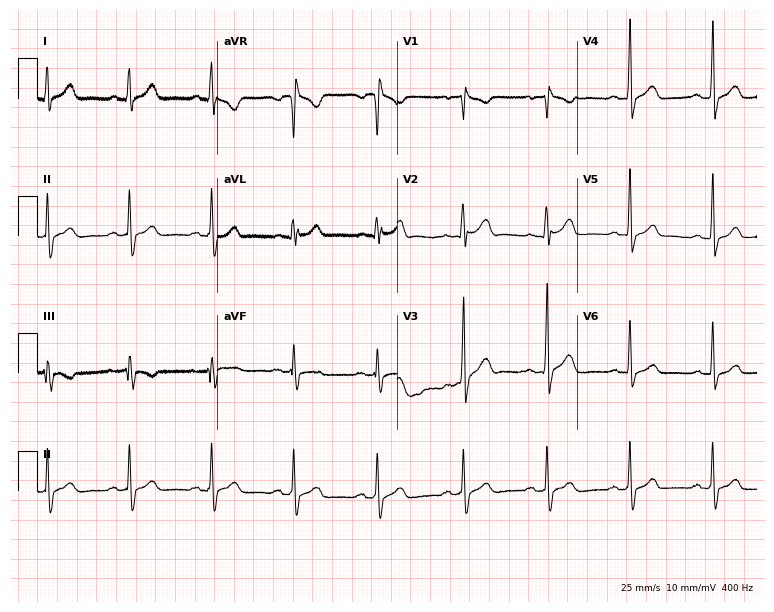
Resting 12-lead electrocardiogram. Patient: a 34-year-old man. None of these six findings is recorded: first-degree AV block, right bundle branch block, left bundle branch block, sinus bradycardia, atrial fibrillation, sinus tachycardia. Other findings, if any, are not listed.